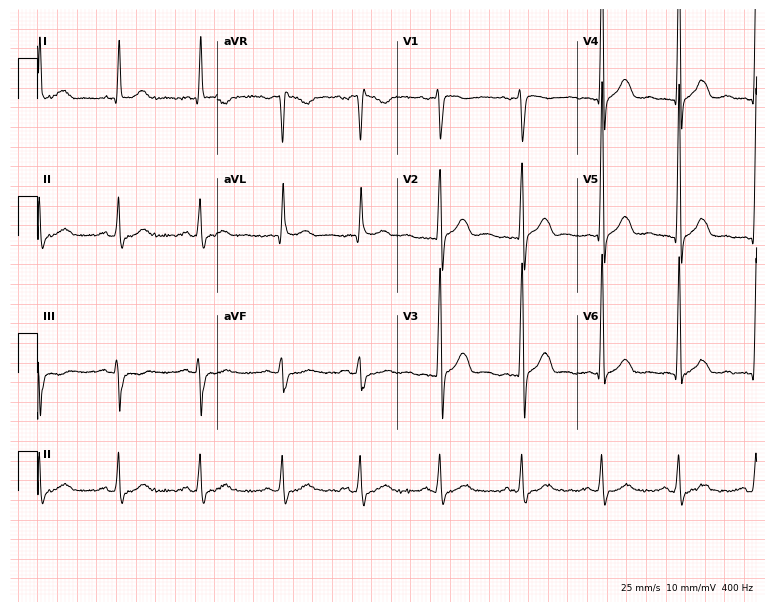
12-lead ECG from a man, 51 years old (7.3-second recording at 400 Hz). No first-degree AV block, right bundle branch block (RBBB), left bundle branch block (LBBB), sinus bradycardia, atrial fibrillation (AF) or sinus tachycardia recorded for this tracing.